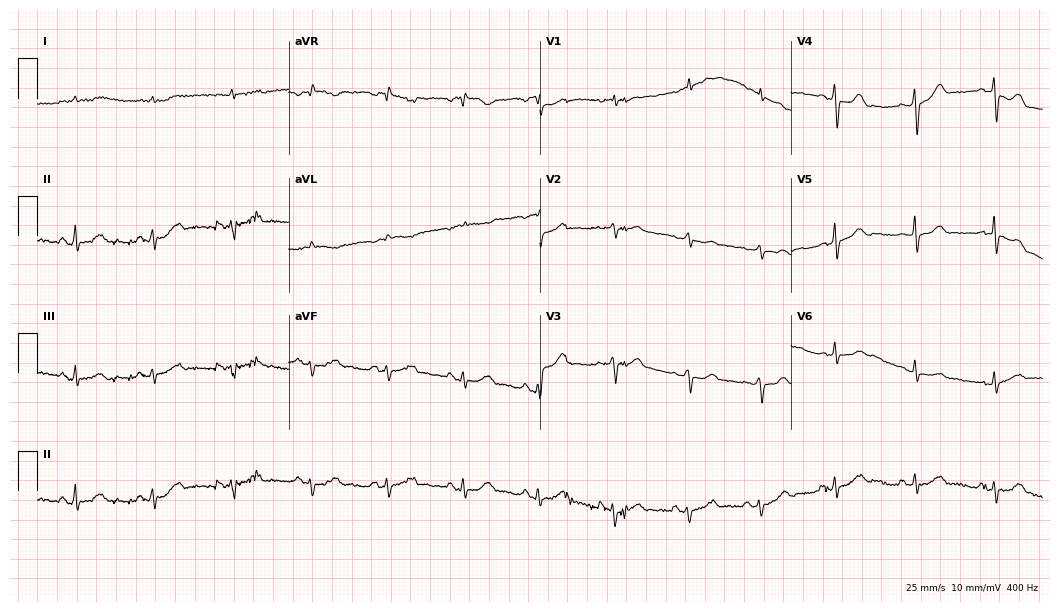
12-lead ECG from a man, 72 years old. Screened for six findings — first-degree AV block, right bundle branch block (RBBB), left bundle branch block (LBBB), sinus bradycardia, atrial fibrillation (AF), sinus tachycardia — none is recorded.